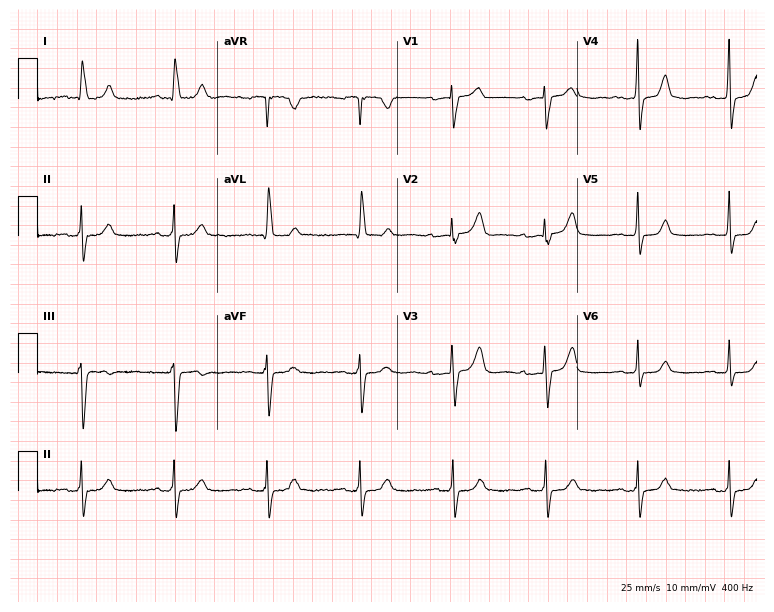
Standard 12-lead ECG recorded from a female patient, 60 years old (7.3-second recording at 400 Hz). None of these six findings is recorded: first-degree AV block, right bundle branch block, left bundle branch block, sinus bradycardia, atrial fibrillation, sinus tachycardia. Only these six findings were labelled.